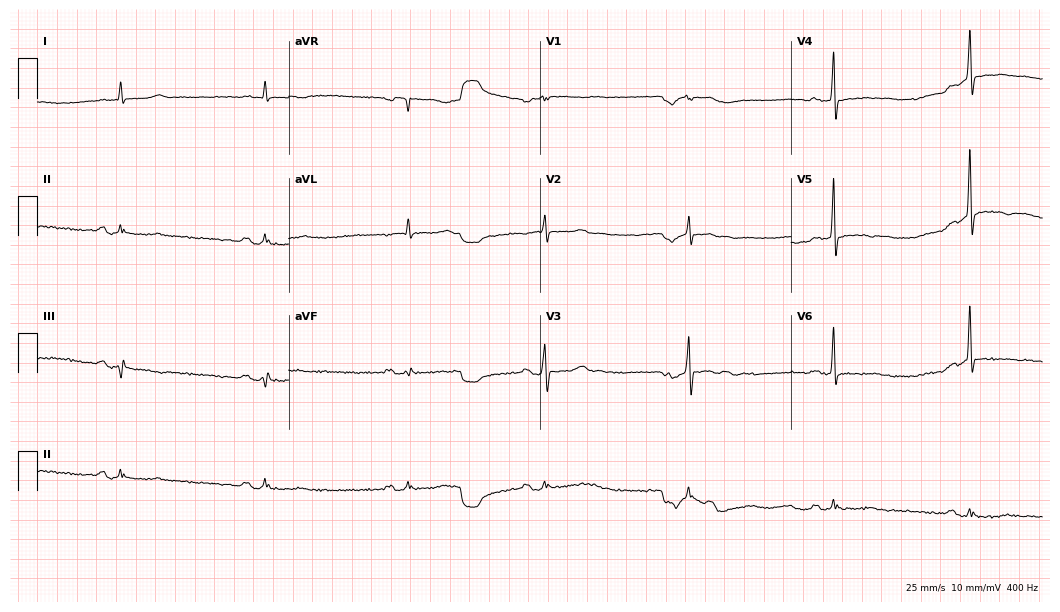
12-lead ECG (10.2-second recording at 400 Hz) from a male patient, 85 years old. Findings include sinus bradycardia (a sinus rate of 50 beats per minute or less).